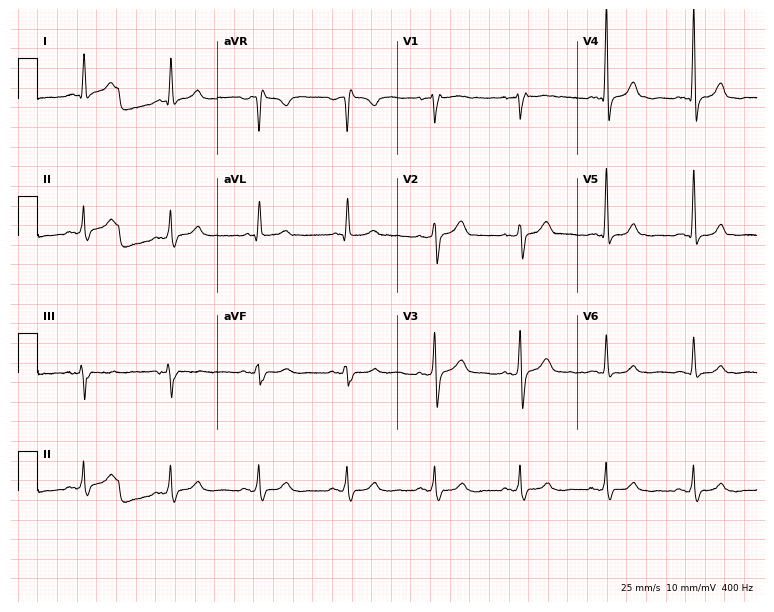
Resting 12-lead electrocardiogram (7.3-second recording at 400 Hz). Patient: a male, 63 years old. None of these six findings is recorded: first-degree AV block, right bundle branch block, left bundle branch block, sinus bradycardia, atrial fibrillation, sinus tachycardia. Only these six findings were labelled.